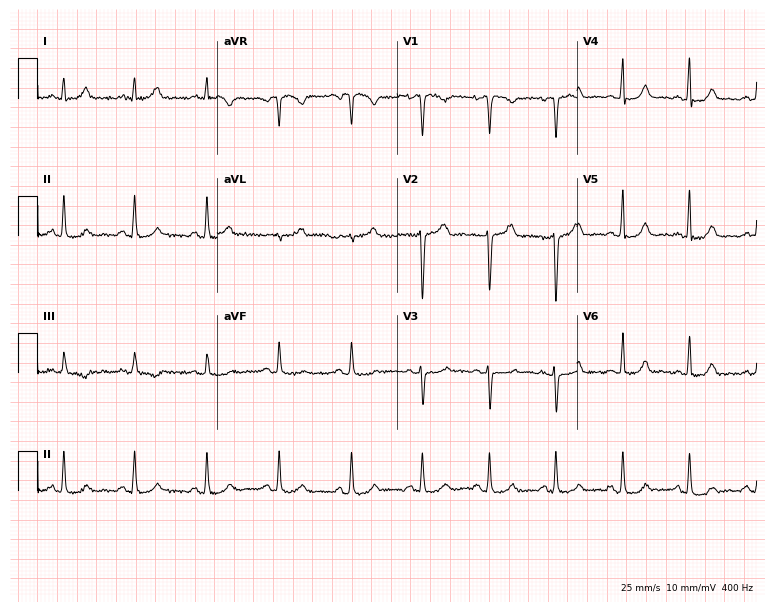
ECG (7.3-second recording at 400 Hz) — a 28-year-old female. Screened for six findings — first-degree AV block, right bundle branch block, left bundle branch block, sinus bradycardia, atrial fibrillation, sinus tachycardia — none is recorded. Only these six findings were labelled.